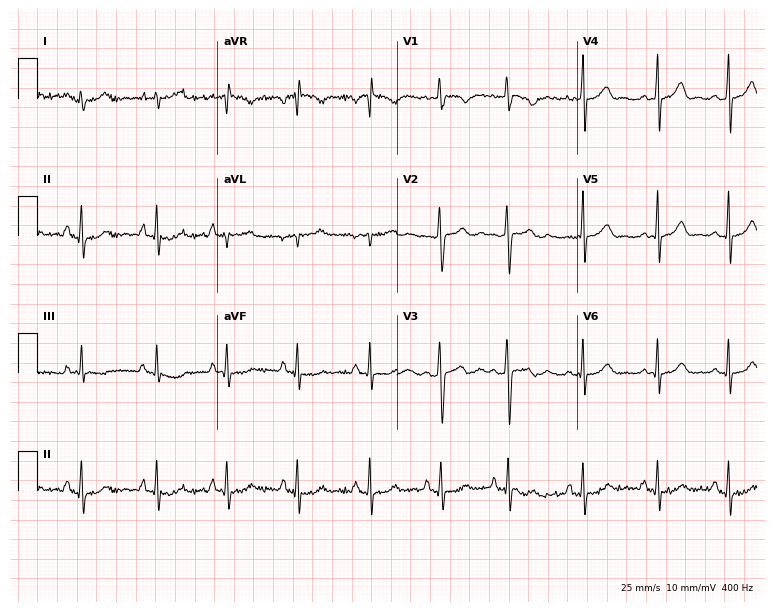
Electrocardiogram, a female patient, 31 years old. Of the six screened findings (first-degree AV block, right bundle branch block, left bundle branch block, sinus bradycardia, atrial fibrillation, sinus tachycardia), none is recorded.